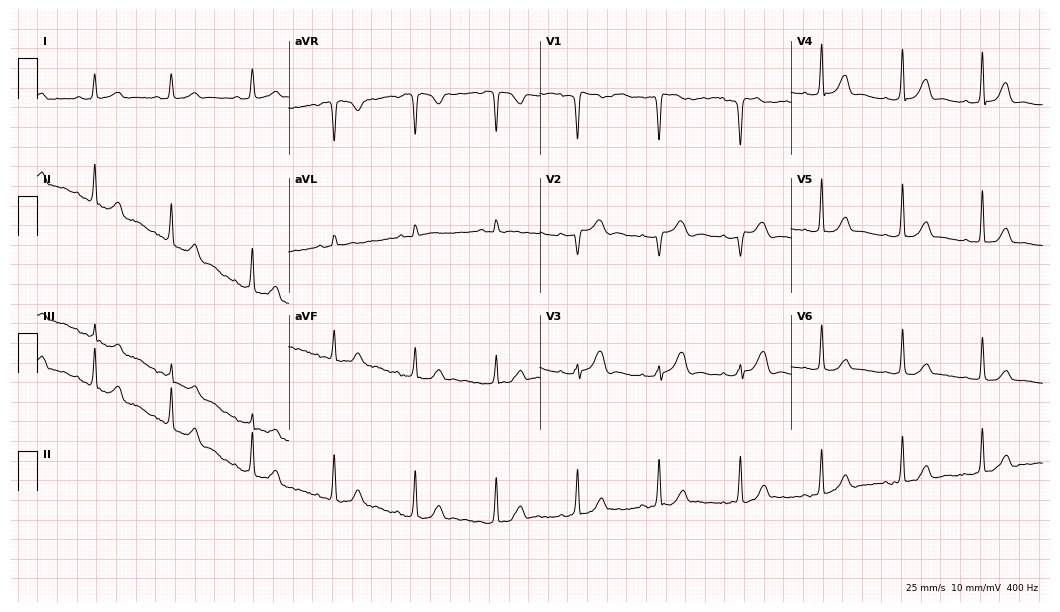
ECG — a female, 44 years old. Labelled as a normal ECG.